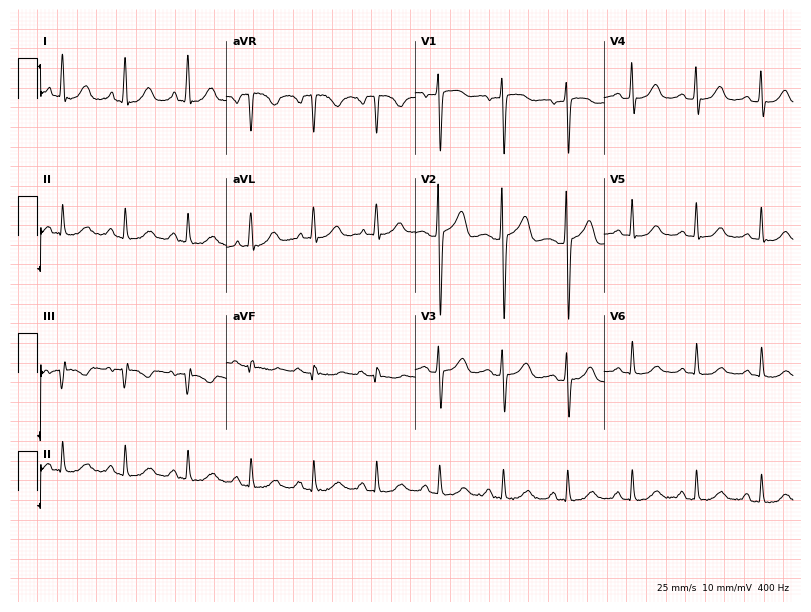
ECG — a woman, 74 years old. Labelled as a normal ECG.